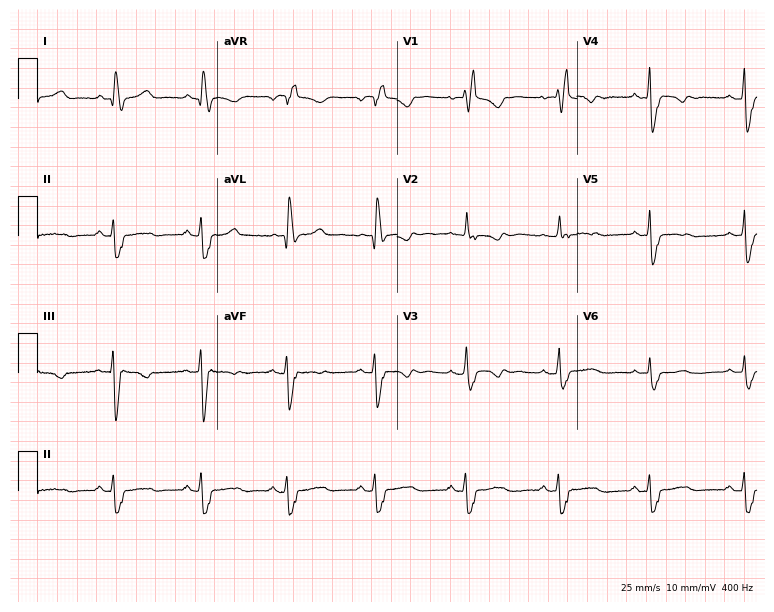
Standard 12-lead ECG recorded from a woman, 45 years old. The tracing shows right bundle branch block (RBBB).